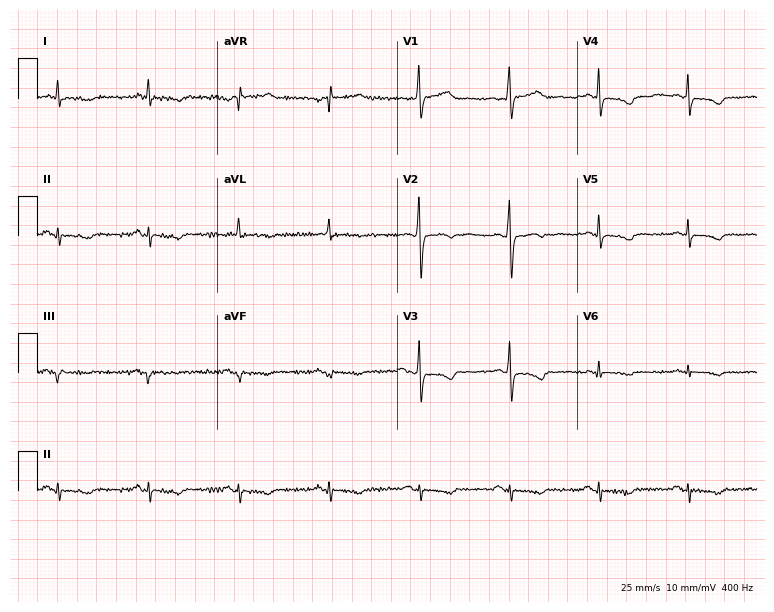
Resting 12-lead electrocardiogram (7.3-second recording at 400 Hz). Patient: a male, 59 years old. None of these six findings is recorded: first-degree AV block, right bundle branch block, left bundle branch block, sinus bradycardia, atrial fibrillation, sinus tachycardia. Findings outside these six are not listed.